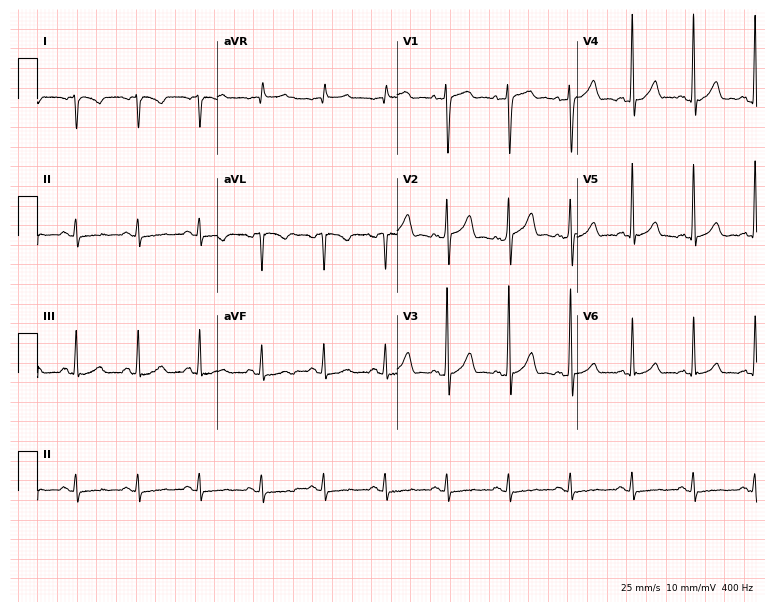
12-lead ECG from a male patient, 44 years old (7.3-second recording at 400 Hz). No first-degree AV block, right bundle branch block (RBBB), left bundle branch block (LBBB), sinus bradycardia, atrial fibrillation (AF) or sinus tachycardia recorded for this tracing. Findings outside these six are not listed.